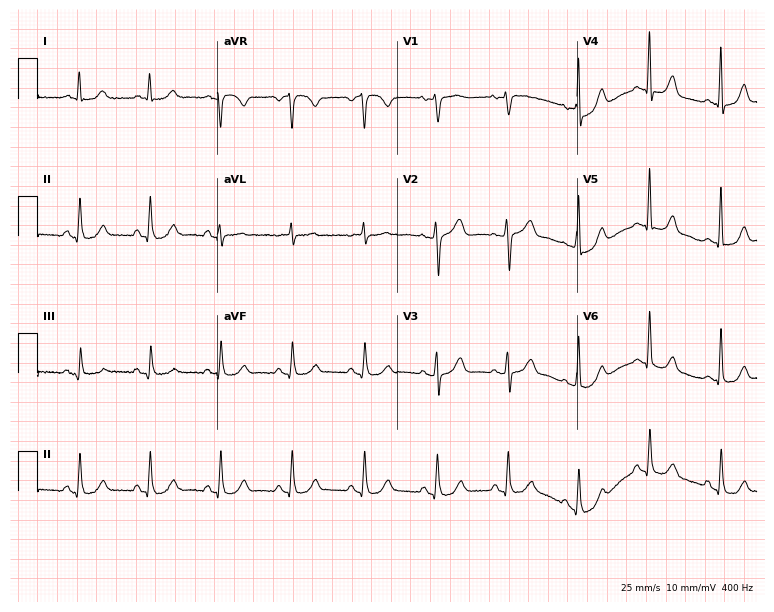
12-lead ECG (7.3-second recording at 400 Hz) from a 58-year-old female. Screened for six findings — first-degree AV block, right bundle branch block (RBBB), left bundle branch block (LBBB), sinus bradycardia, atrial fibrillation (AF), sinus tachycardia — none is recorded. Other findings, if any, are not listed.